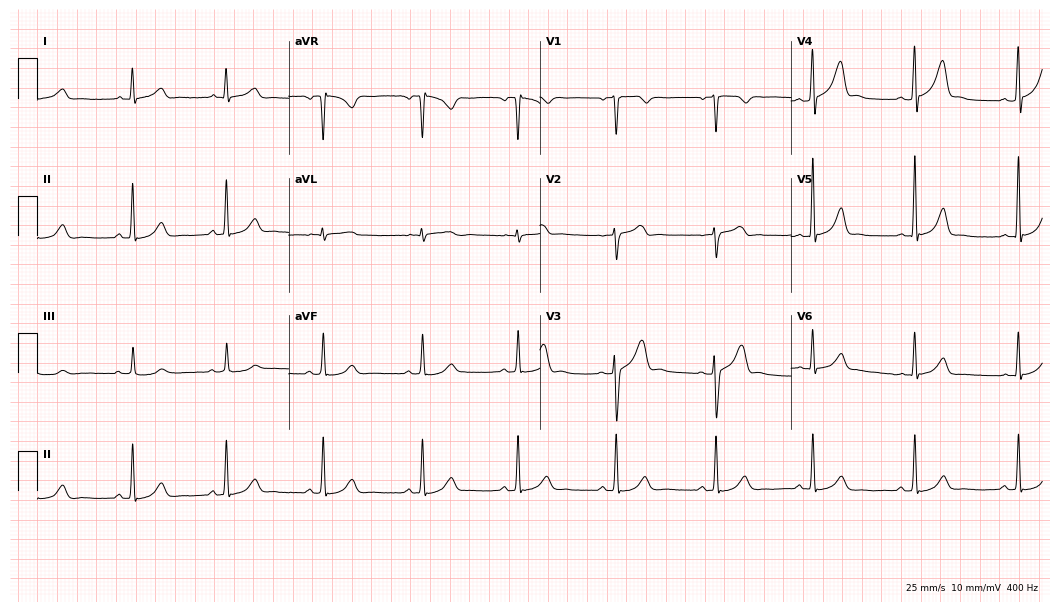
Standard 12-lead ECG recorded from a 35-year-old man. Read as a normal ECG.